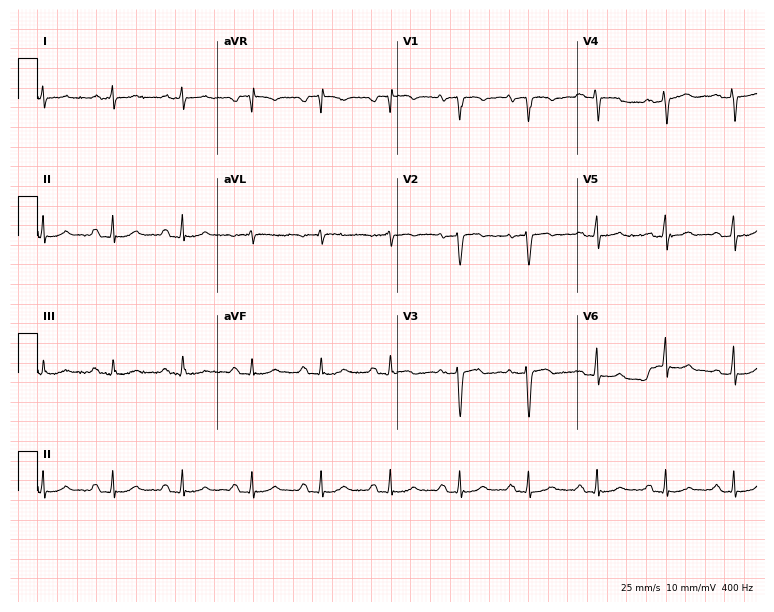
Electrocardiogram, a male, 47 years old. Of the six screened findings (first-degree AV block, right bundle branch block, left bundle branch block, sinus bradycardia, atrial fibrillation, sinus tachycardia), none is recorded. Only these six findings were labelled.